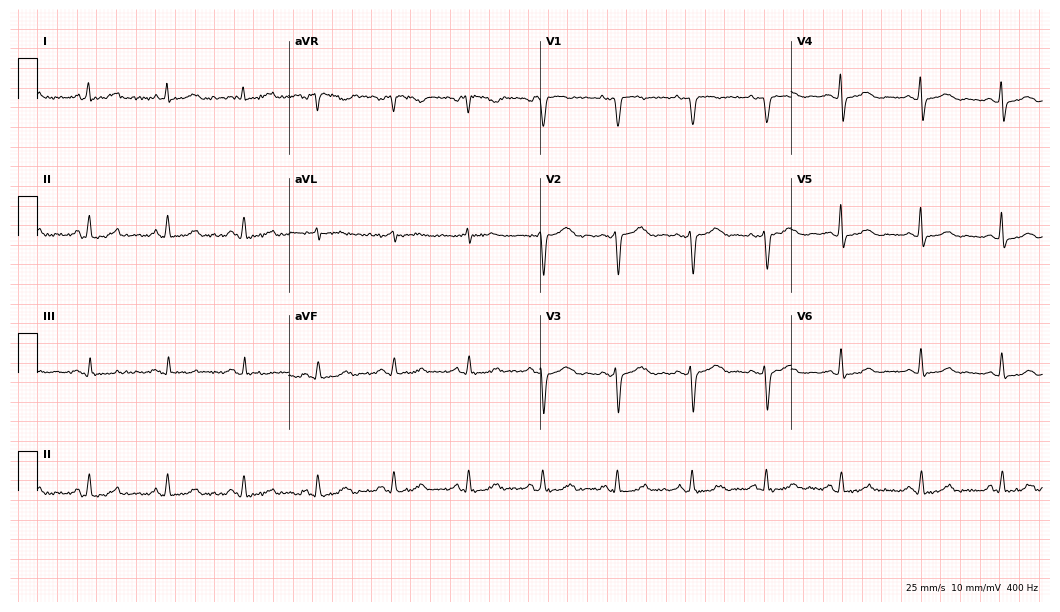
12-lead ECG (10.2-second recording at 400 Hz) from a female patient, 46 years old. Labelled as a normal ECG.